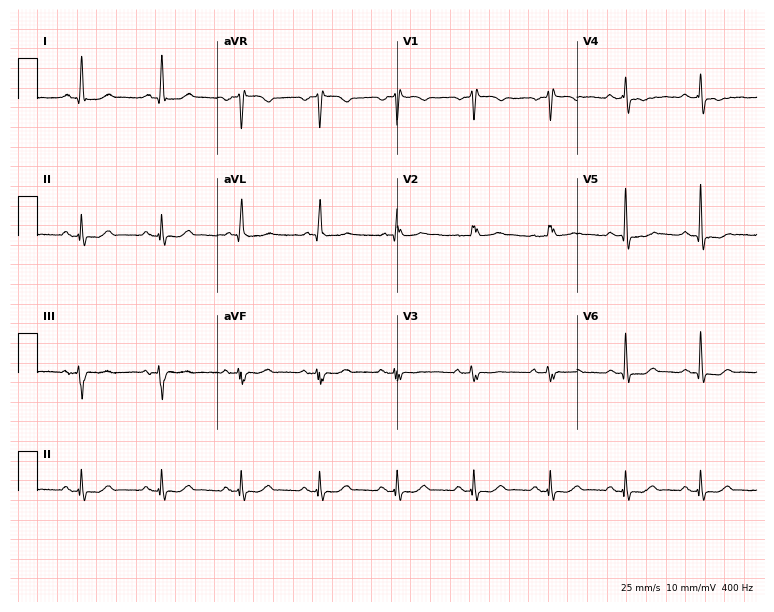
ECG — a woman, 62 years old. Screened for six findings — first-degree AV block, right bundle branch block (RBBB), left bundle branch block (LBBB), sinus bradycardia, atrial fibrillation (AF), sinus tachycardia — none is recorded.